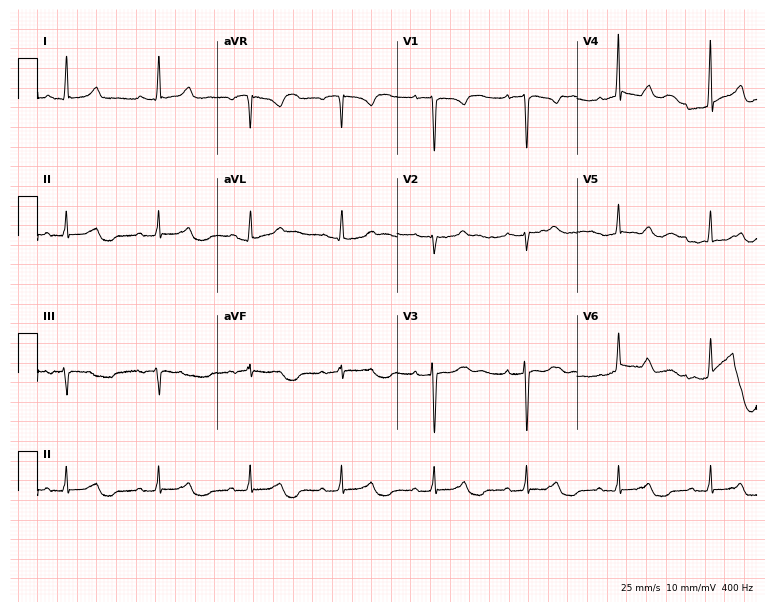
12-lead ECG from a female, 72 years old. No first-degree AV block, right bundle branch block, left bundle branch block, sinus bradycardia, atrial fibrillation or sinus tachycardia recorded for this tracing.